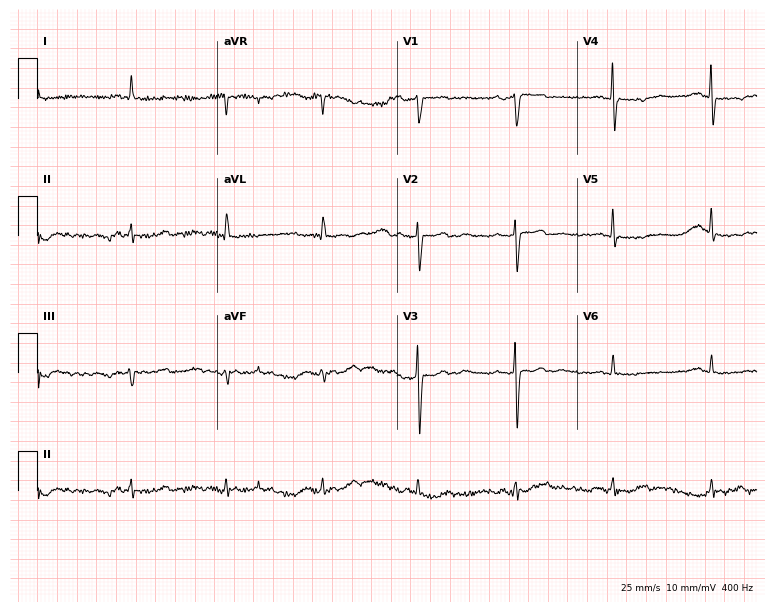
Resting 12-lead electrocardiogram (7.3-second recording at 400 Hz). Patient: a 71-year-old man. None of these six findings is recorded: first-degree AV block, right bundle branch block, left bundle branch block, sinus bradycardia, atrial fibrillation, sinus tachycardia. Other findings, if any, are not listed.